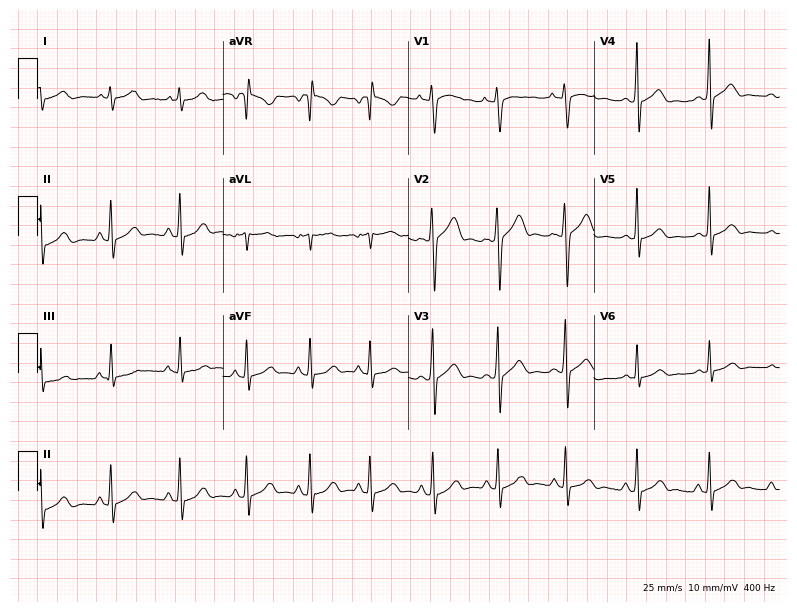
12-lead ECG from a 21-year-old male patient. Recorded interpretation: within normal limits.